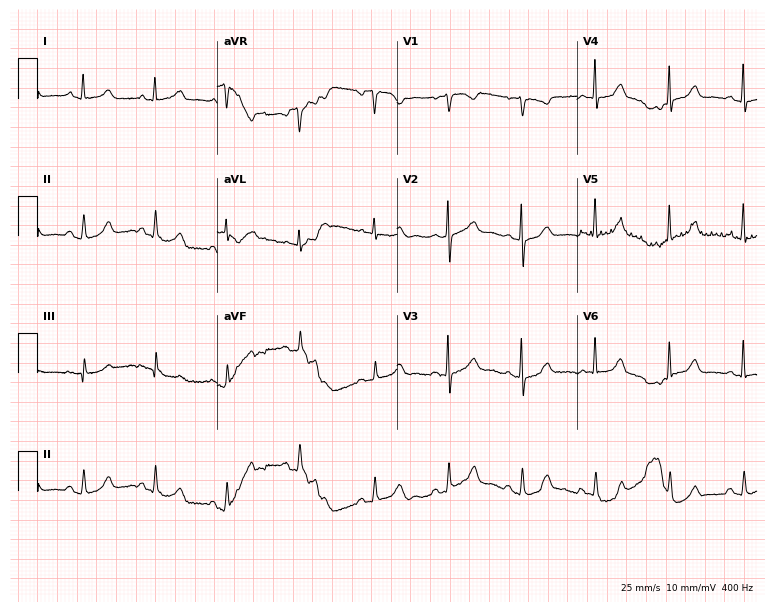
Electrocardiogram (7.3-second recording at 400 Hz), a 57-year-old female. Overall reading on record: normal ECG.